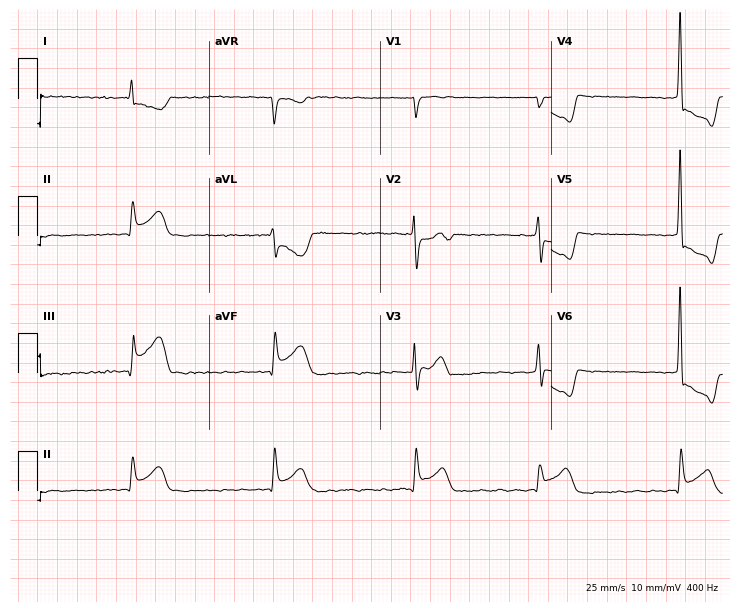
12-lead ECG (7-second recording at 400 Hz) from a male, 62 years old. Findings include atrial fibrillation.